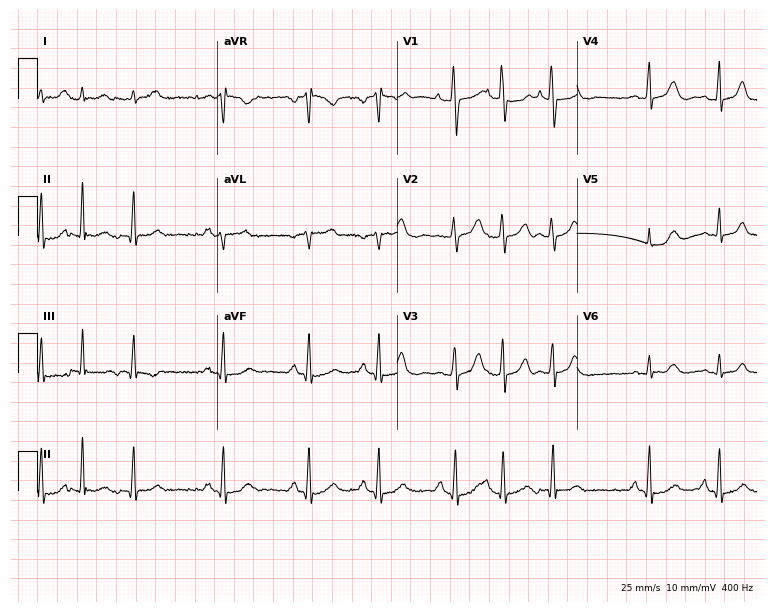
12-lead ECG (7.3-second recording at 400 Hz) from a male patient, 66 years old. Screened for six findings — first-degree AV block, right bundle branch block, left bundle branch block, sinus bradycardia, atrial fibrillation, sinus tachycardia — none is recorded.